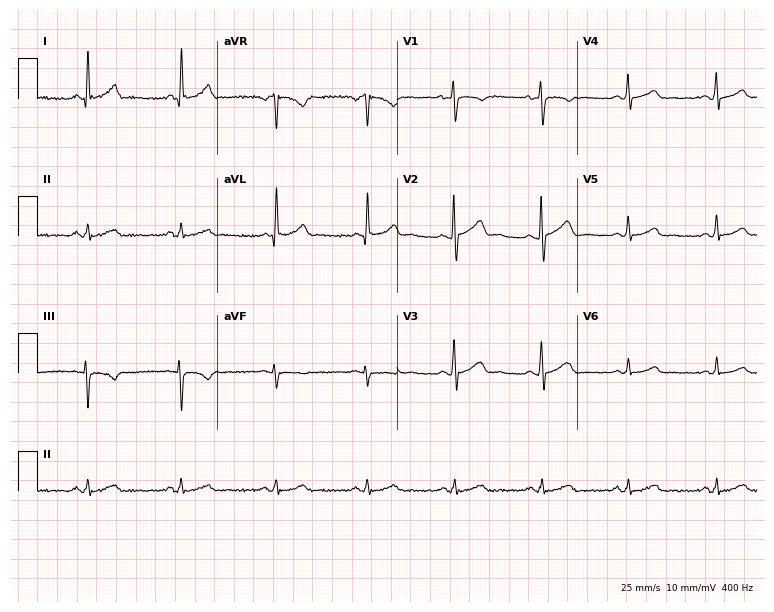
ECG (7.3-second recording at 400 Hz) — a male, 21 years old. Screened for six findings — first-degree AV block, right bundle branch block (RBBB), left bundle branch block (LBBB), sinus bradycardia, atrial fibrillation (AF), sinus tachycardia — none is recorded. Only these six findings were labelled.